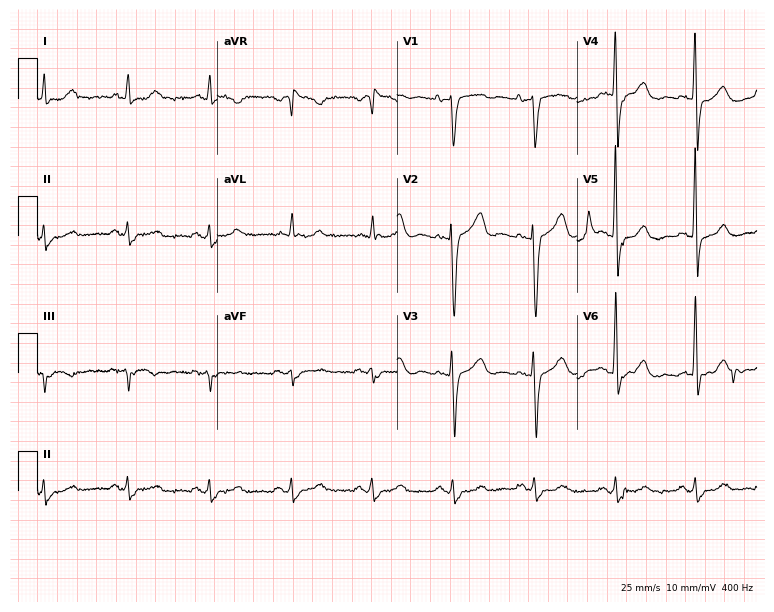
ECG (7.3-second recording at 400 Hz) — a female patient, 78 years old. Screened for six findings — first-degree AV block, right bundle branch block, left bundle branch block, sinus bradycardia, atrial fibrillation, sinus tachycardia — none is recorded.